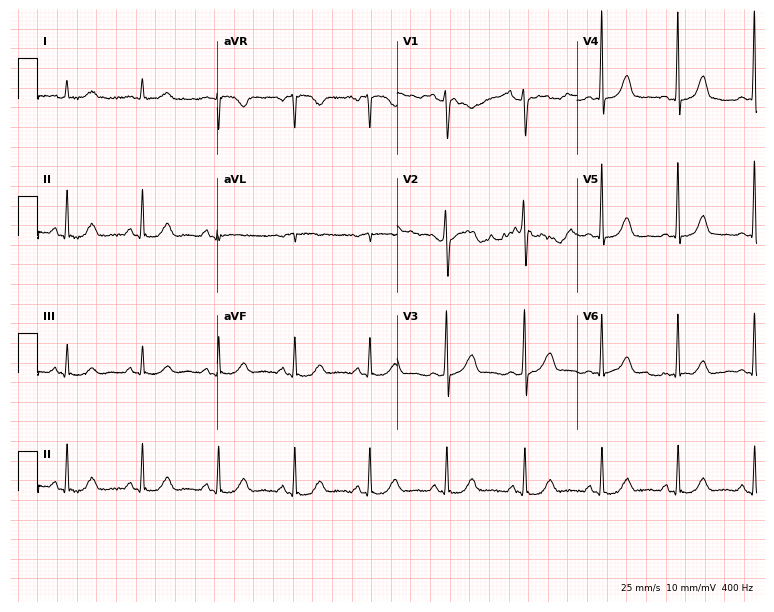
Standard 12-lead ECG recorded from a woman, 55 years old (7.3-second recording at 400 Hz). Read as a normal ECG.